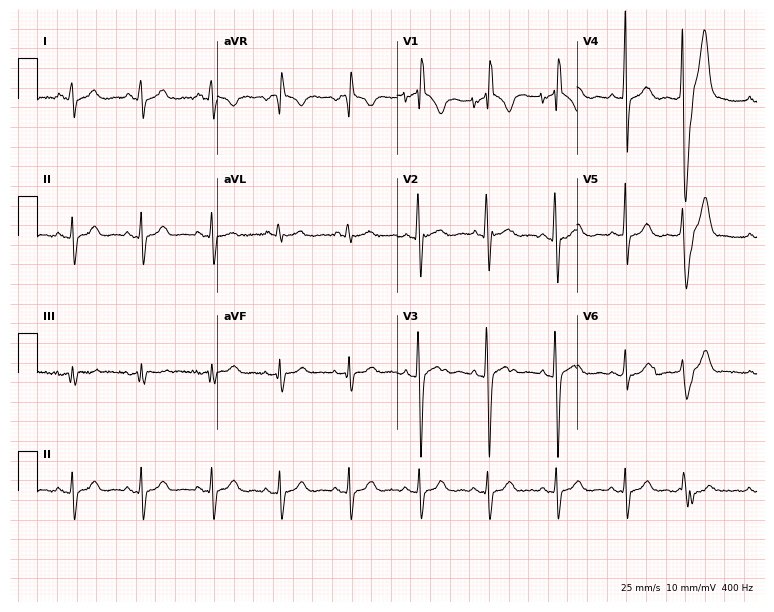
Resting 12-lead electrocardiogram (7.3-second recording at 400 Hz). Patient: a male, 44 years old. None of these six findings is recorded: first-degree AV block, right bundle branch block, left bundle branch block, sinus bradycardia, atrial fibrillation, sinus tachycardia.